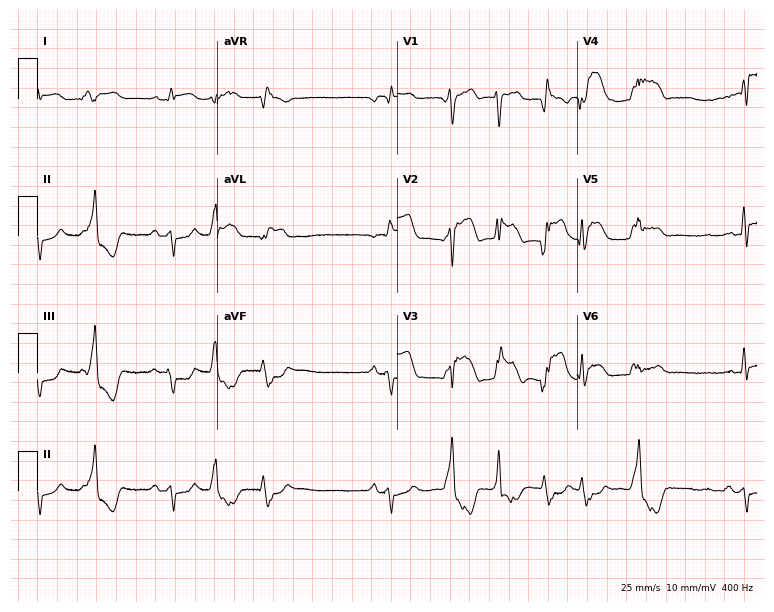
Standard 12-lead ECG recorded from an 83-year-old male. None of these six findings is recorded: first-degree AV block, right bundle branch block (RBBB), left bundle branch block (LBBB), sinus bradycardia, atrial fibrillation (AF), sinus tachycardia.